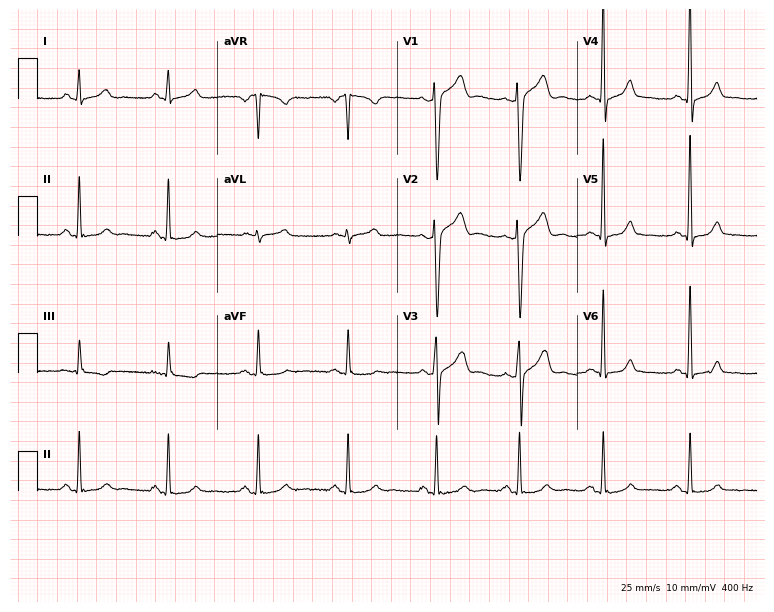
12-lead ECG from a 40-year-old man. Screened for six findings — first-degree AV block, right bundle branch block (RBBB), left bundle branch block (LBBB), sinus bradycardia, atrial fibrillation (AF), sinus tachycardia — none is recorded. Other findings, if any, are not listed.